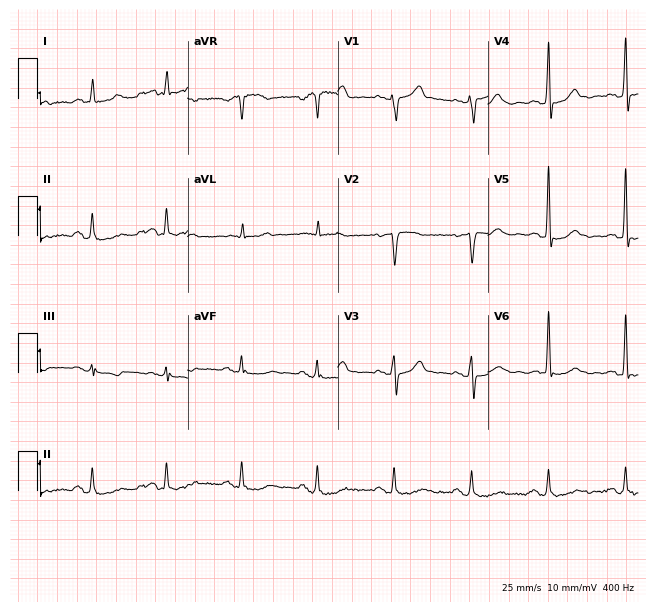
Electrocardiogram, a 51-year-old female patient. Of the six screened findings (first-degree AV block, right bundle branch block (RBBB), left bundle branch block (LBBB), sinus bradycardia, atrial fibrillation (AF), sinus tachycardia), none is recorded. Only these six findings were labelled.